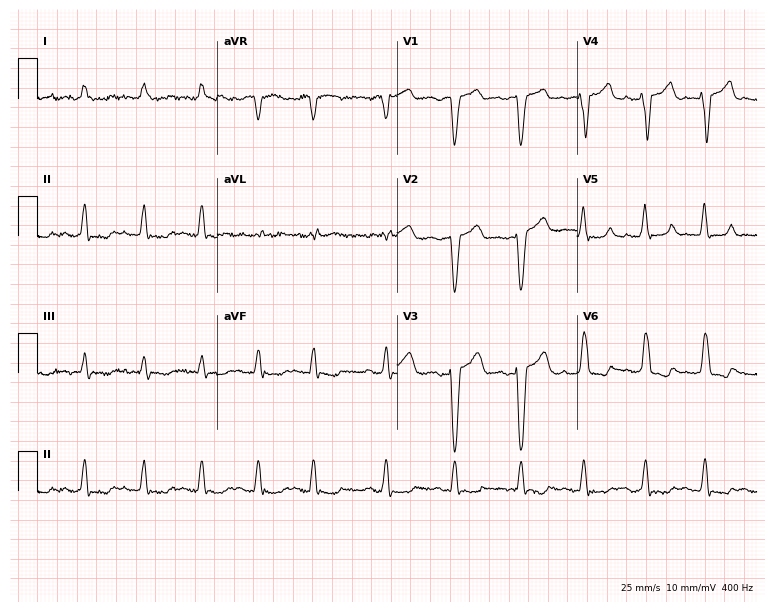
ECG — an 84-year-old female patient. Findings include left bundle branch block (LBBB), atrial fibrillation (AF).